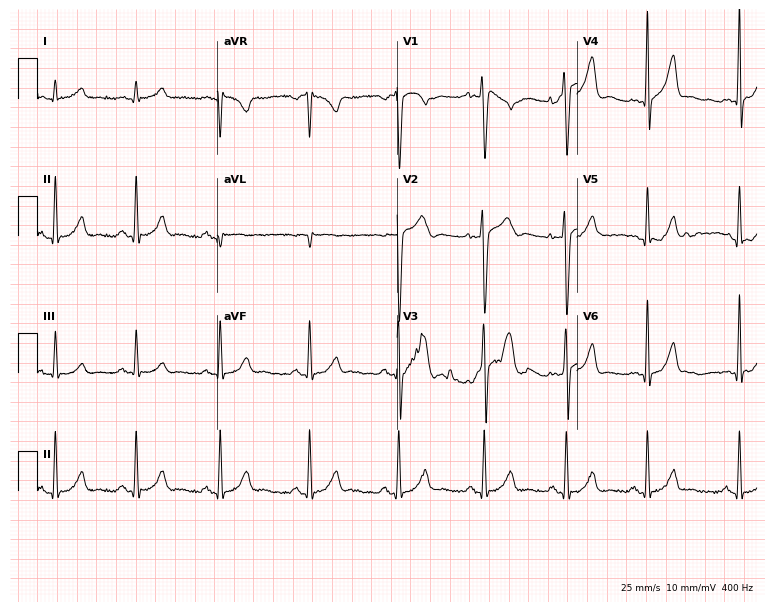
12-lead ECG from a 44-year-old male patient. Labelled as a normal ECG.